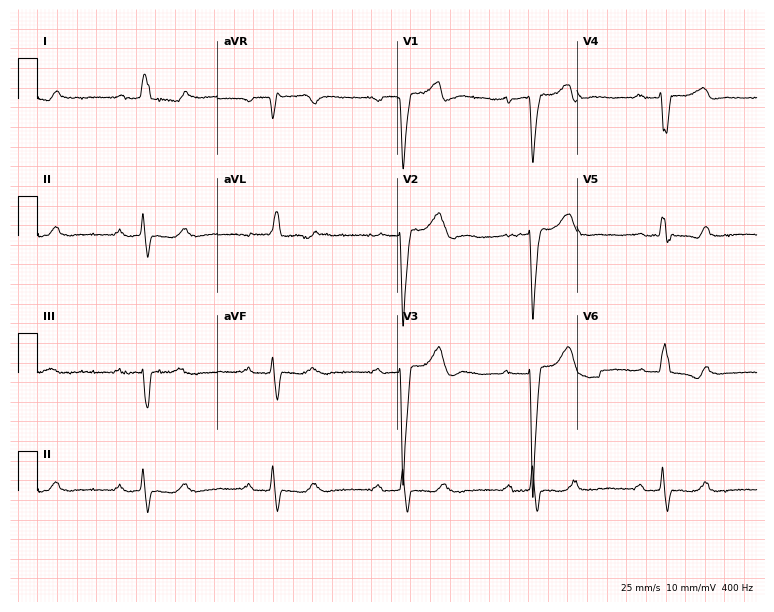
12-lead ECG (7.3-second recording at 400 Hz) from an 81-year-old woman. Findings include first-degree AV block, left bundle branch block, sinus bradycardia (a sinus rate of 50 beats per minute or less).